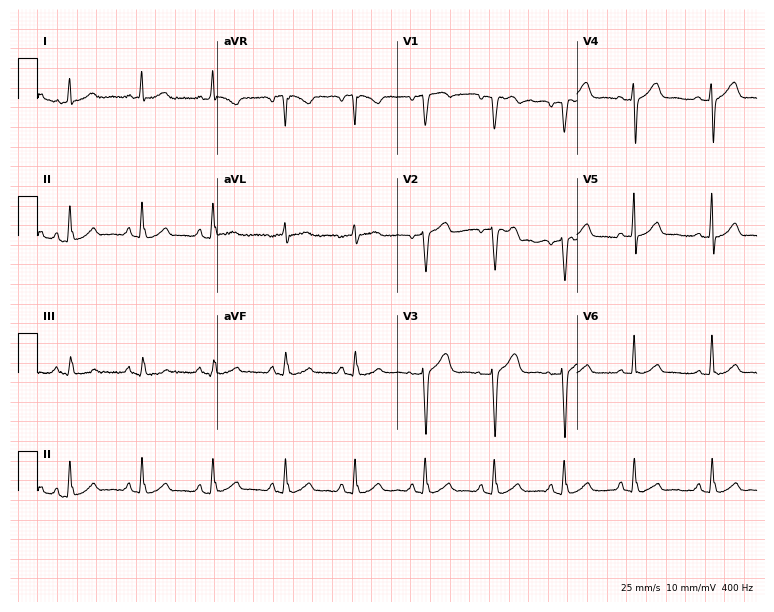
Standard 12-lead ECG recorded from a female patient, 47 years old (7.3-second recording at 400 Hz). None of these six findings is recorded: first-degree AV block, right bundle branch block, left bundle branch block, sinus bradycardia, atrial fibrillation, sinus tachycardia.